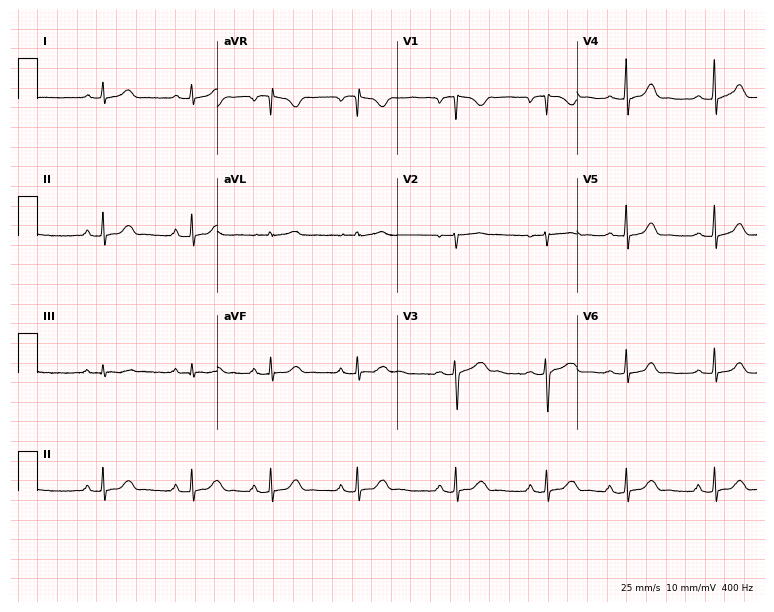
Standard 12-lead ECG recorded from a 21-year-old woman (7.3-second recording at 400 Hz). Read as a normal ECG.